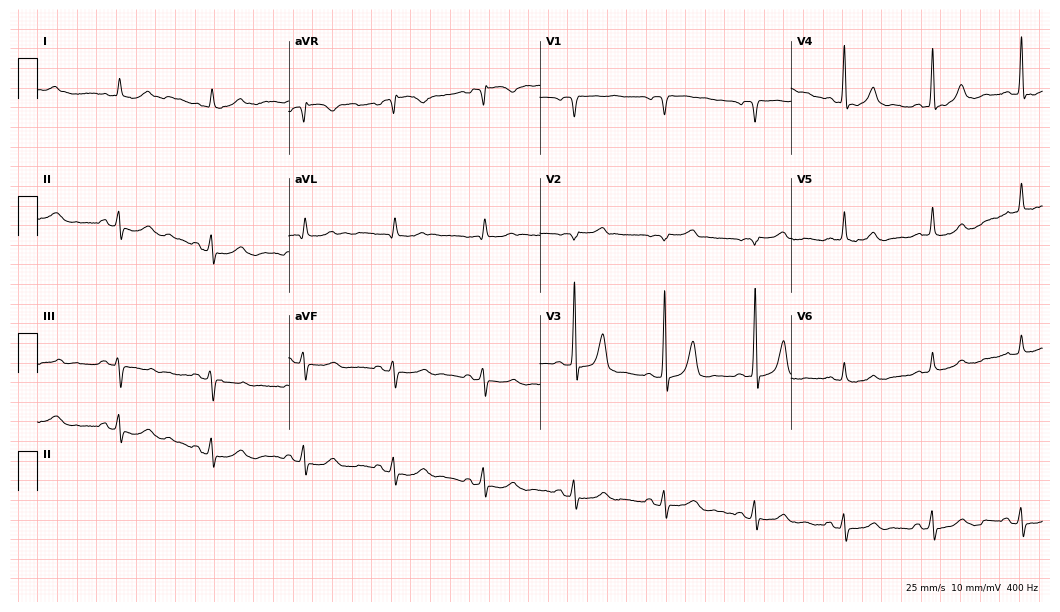
Standard 12-lead ECG recorded from a 55-year-old man. None of these six findings is recorded: first-degree AV block, right bundle branch block, left bundle branch block, sinus bradycardia, atrial fibrillation, sinus tachycardia. Only these six findings were labelled.